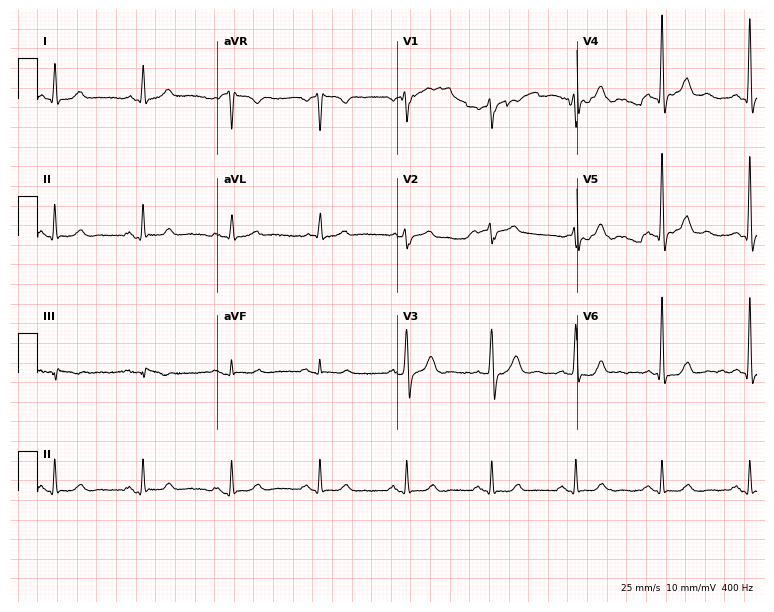
Resting 12-lead electrocardiogram. Patient: a male, 62 years old. None of these six findings is recorded: first-degree AV block, right bundle branch block, left bundle branch block, sinus bradycardia, atrial fibrillation, sinus tachycardia.